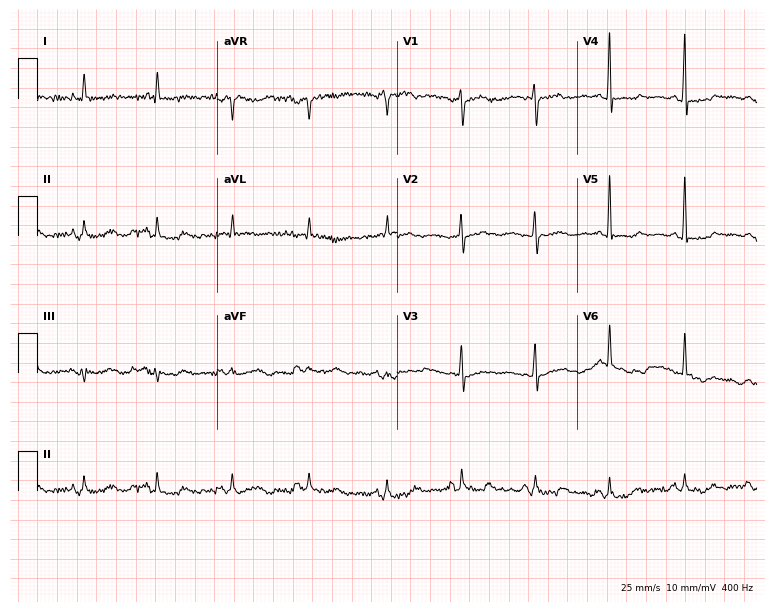
Electrocardiogram (7.3-second recording at 400 Hz), a 61-year-old female patient. Of the six screened findings (first-degree AV block, right bundle branch block, left bundle branch block, sinus bradycardia, atrial fibrillation, sinus tachycardia), none is recorded. Findings outside these six are not listed.